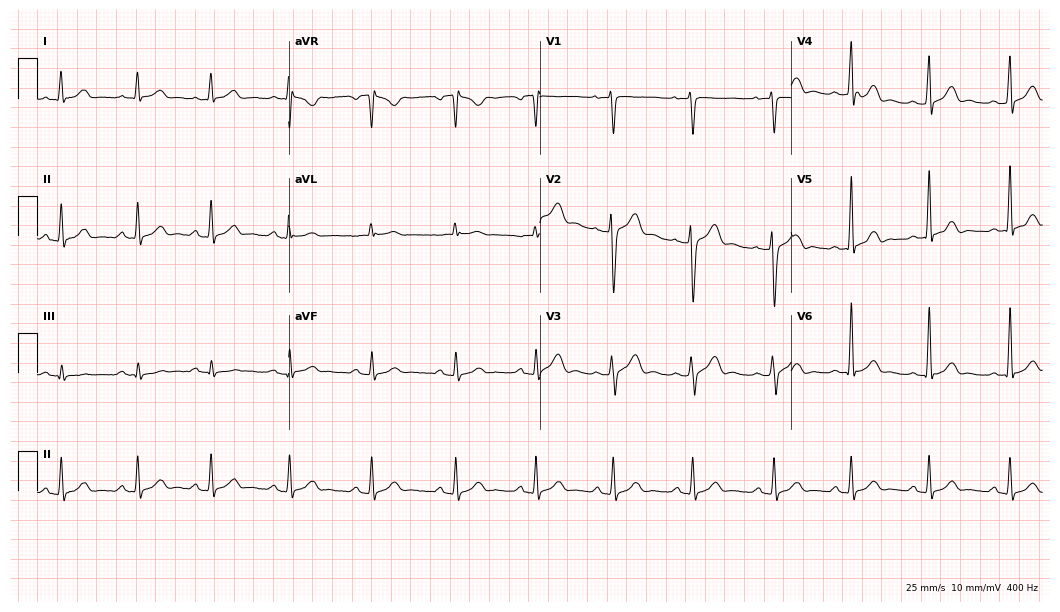
ECG — a male, 24 years old. Labelled as a normal ECG.